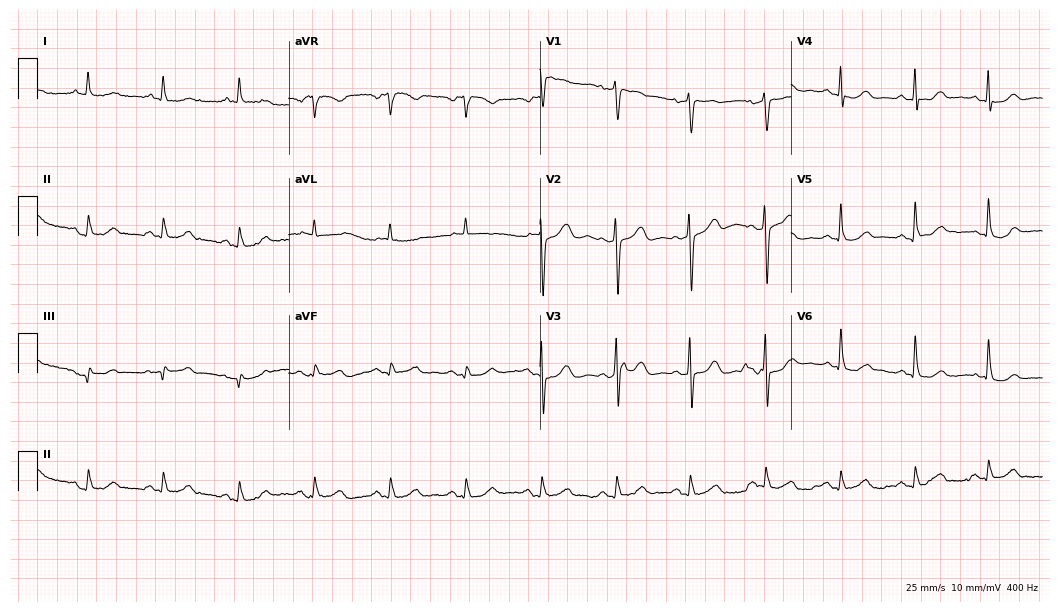
Resting 12-lead electrocardiogram (10.2-second recording at 400 Hz). Patient: a 65-year-old female. Read as a normal ECG.